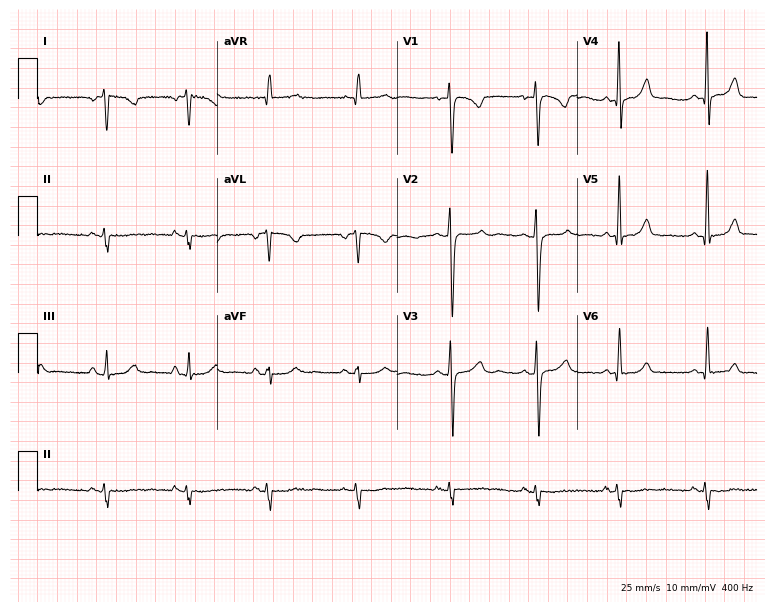
Electrocardiogram (7.3-second recording at 400 Hz), a 36-year-old female patient. Of the six screened findings (first-degree AV block, right bundle branch block, left bundle branch block, sinus bradycardia, atrial fibrillation, sinus tachycardia), none is recorded.